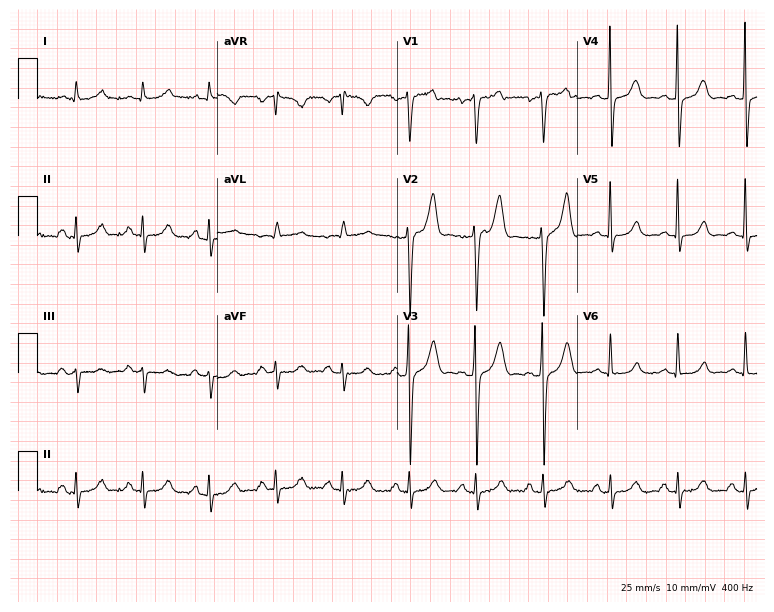
Resting 12-lead electrocardiogram (7.3-second recording at 400 Hz). Patient: a 48-year-old male. None of these six findings is recorded: first-degree AV block, right bundle branch block, left bundle branch block, sinus bradycardia, atrial fibrillation, sinus tachycardia. Other findings, if any, are not listed.